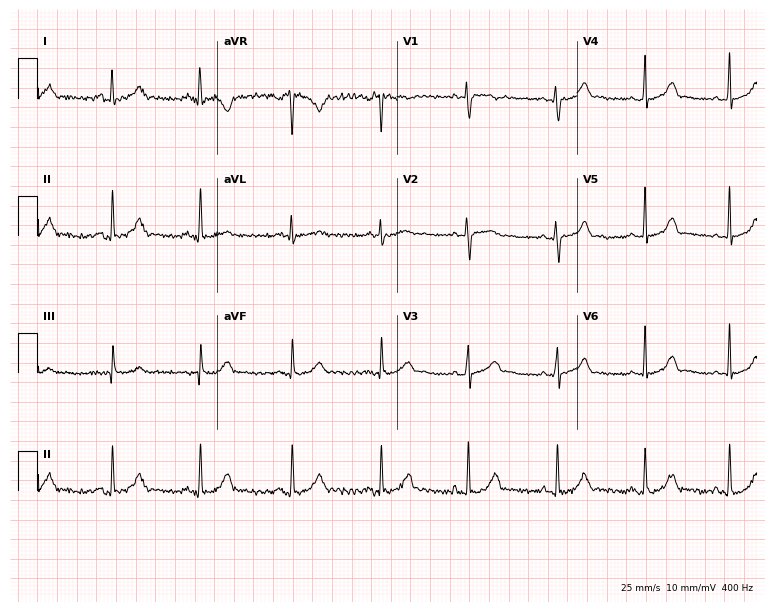
Electrocardiogram, a 29-year-old female patient. Overall reading on record: normal ECG.